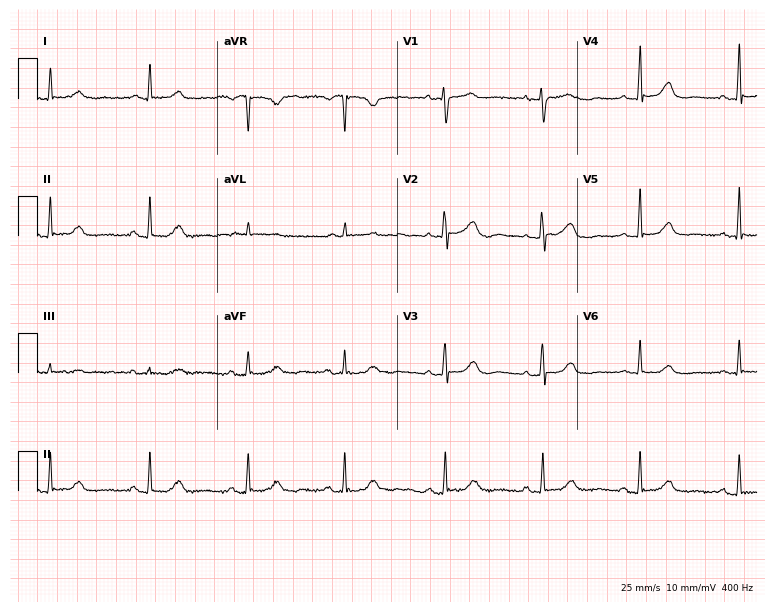
Standard 12-lead ECG recorded from a female patient, 75 years old. Read as a normal ECG.